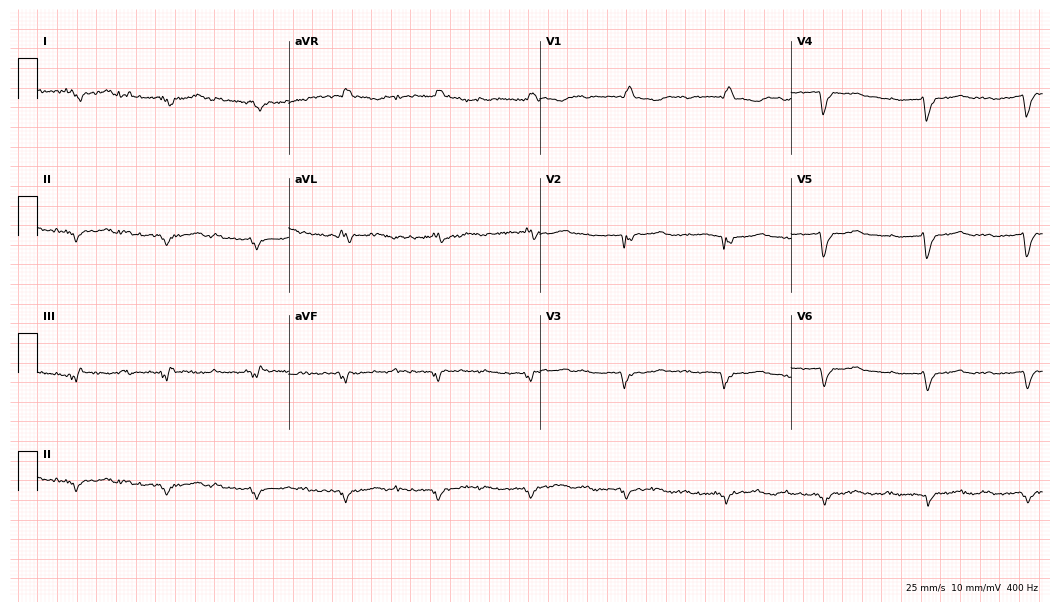
Electrocardiogram (10.2-second recording at 400 Hz), an 81-year-old man. Of the six screened findings (first-degree AV block, right bundle branch block (RBBB), left bundle branch block (LBBB), sinus bradycardia, atrial fibrillation (AF), sinus tachycardia), none is recorded. Only these six findings were labelled.